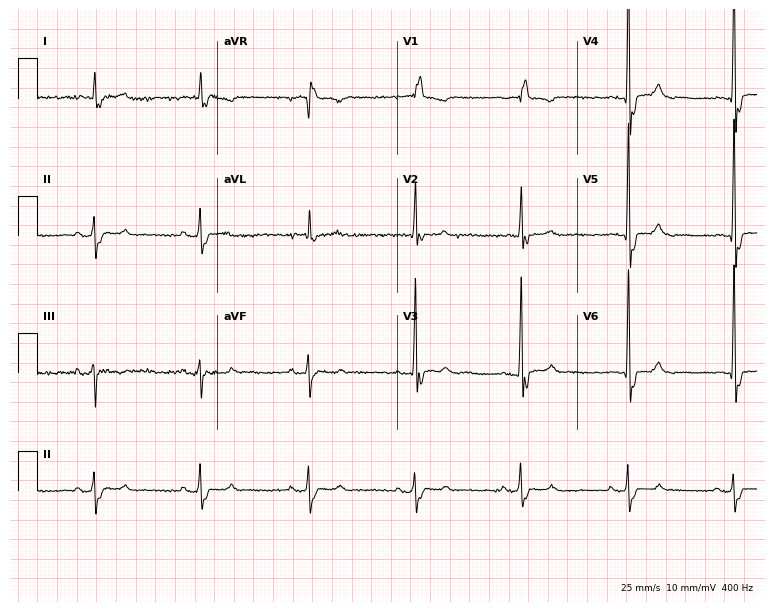
Standard 12-lead ECG recorded from a 63-year-old man (7.3-second recording at 400 Hz). The tracing shows right bundle branch block.